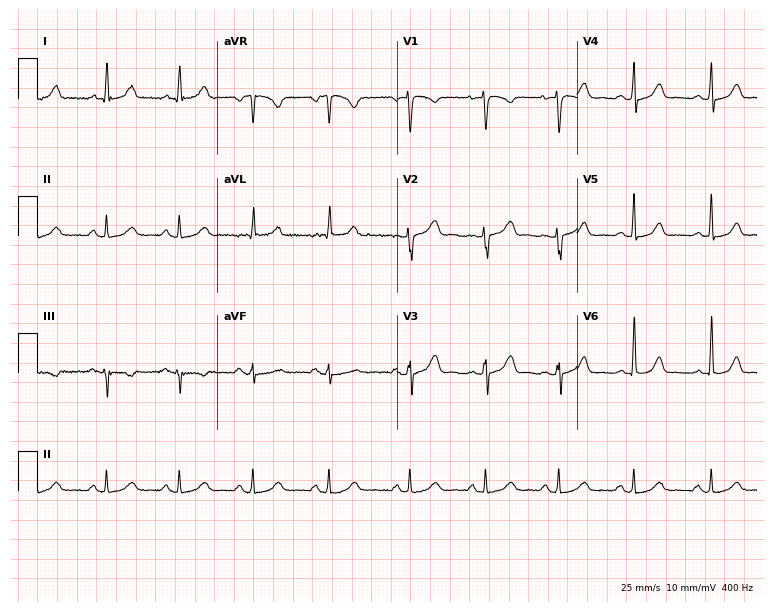
Standard 12-lead ECG recorded from a woman, 50 years old (7.3-second recording at 400 Hz). None of these six findings is recorded: first-degree AV block, right bundle branch block (RBBB), left bundle branch block (LBBB), sinus bradycardia, atrial fibrillation (AF), sinus tachycardia.